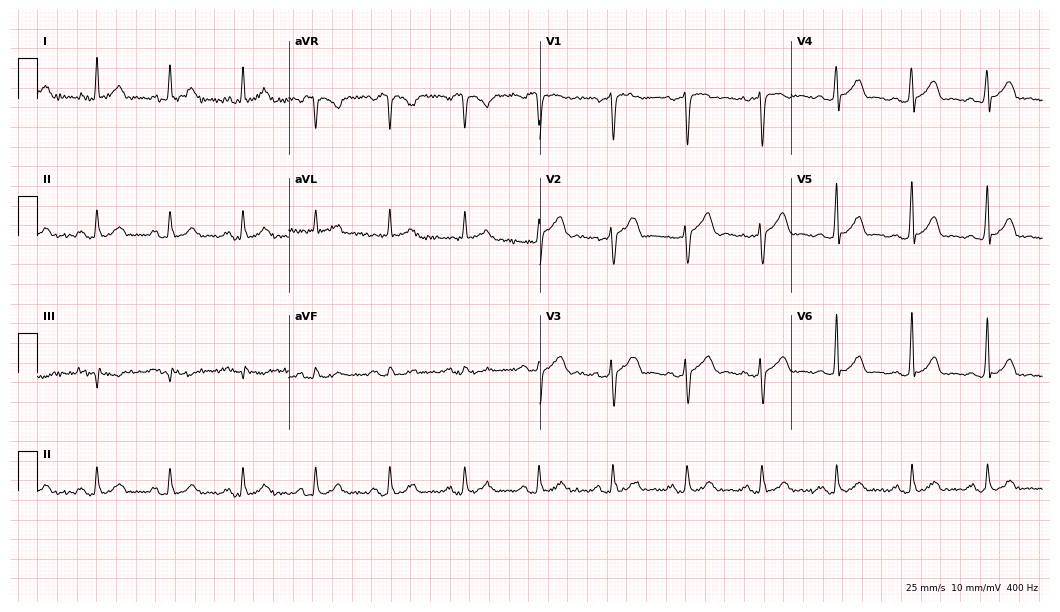
Resting 12-lead electrocardiogram (10.2-second recording at 400 Hz). Patient: a man, 44 years old. Read as a normal ECG.